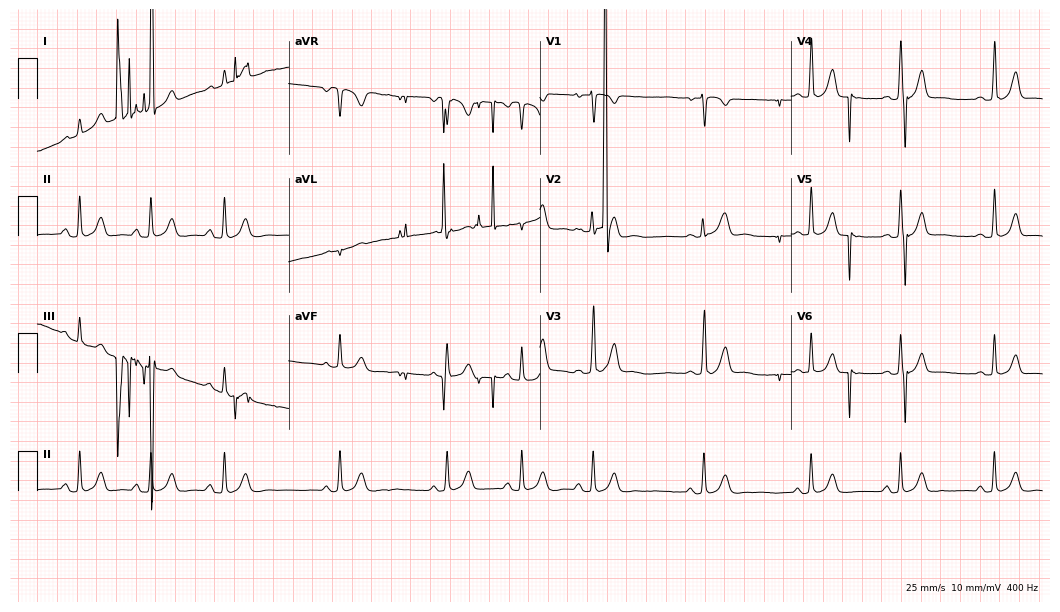
Resting 12-lead electrocardiogram (10.2-second recording at 400 Hz). Patient: a female, 17 years old. Read as a normal ECG.